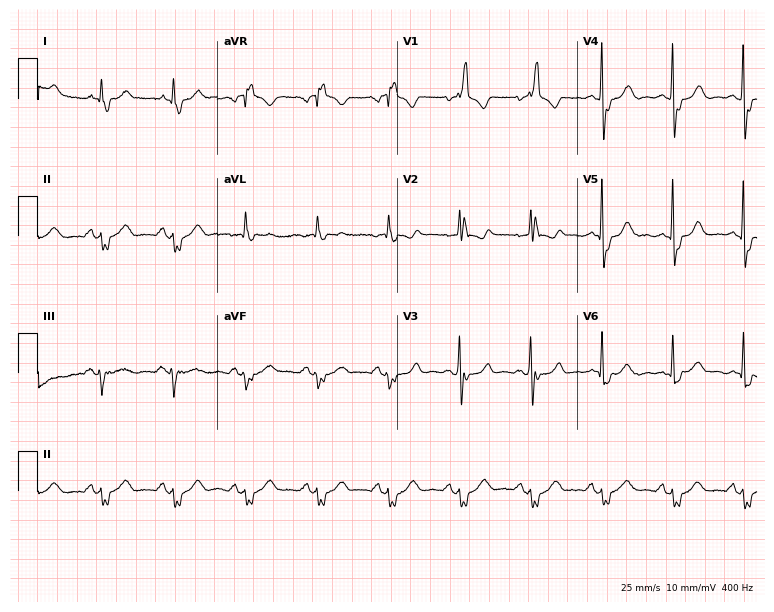
Resting 12-lead electrocardiogram. Patient: an 84-year-old man. The tracing shows right bundle branch block (RBBB).